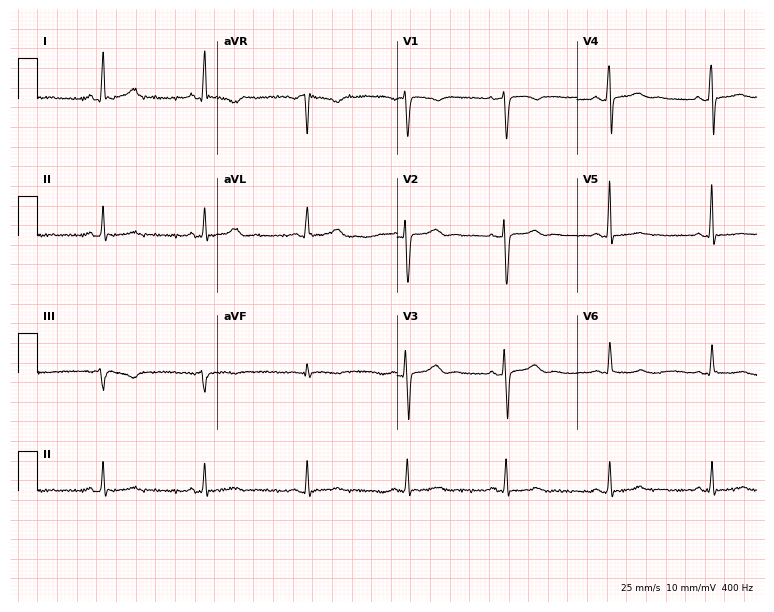
Electrocardiogram (7.3-second recording at 400 Hz), a 36-year-old female. Overall reading on record: normal ECG.